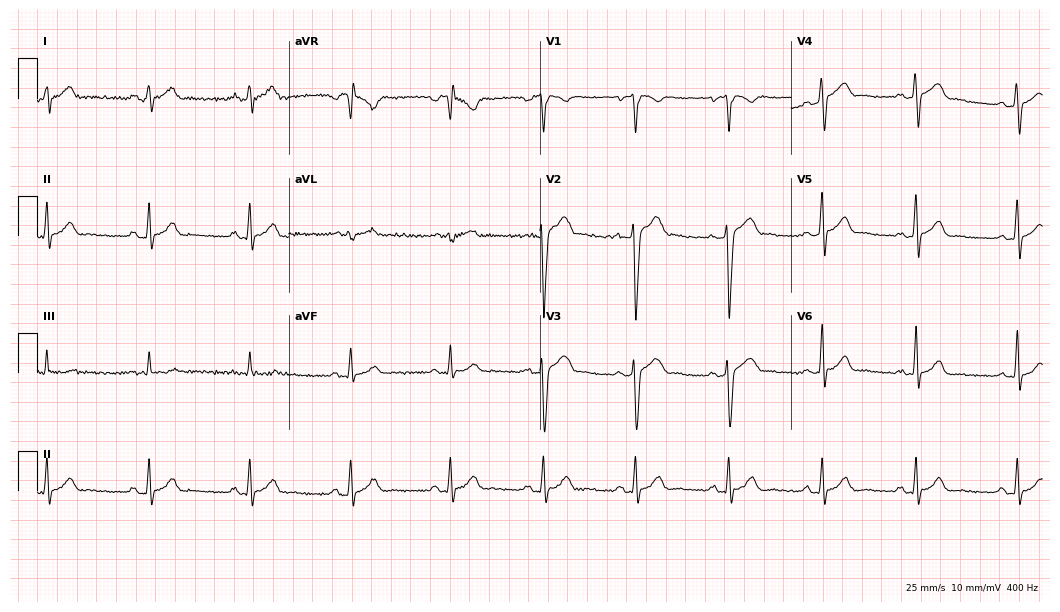
12-lead ECG from a man, 27 years old (10.2-second recording at 400 Hz). Recorded interpretation: within normal limits.